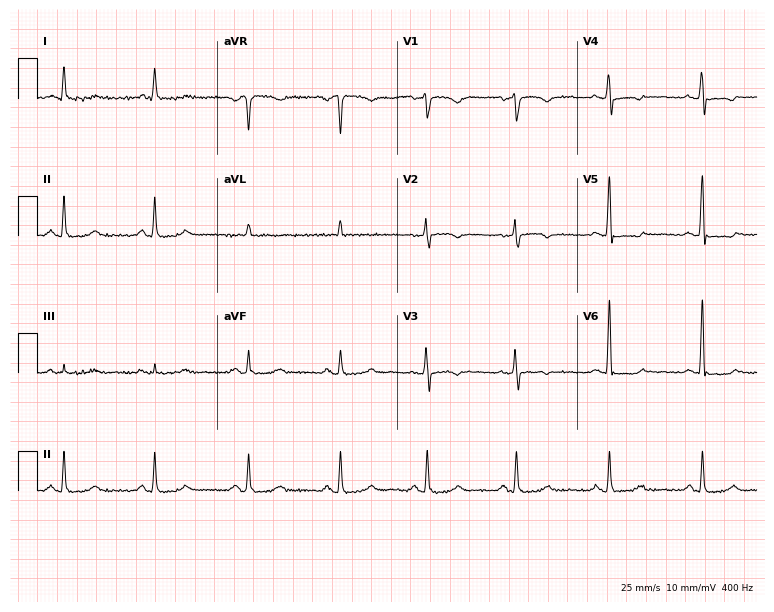
Resting 12-lead electrocardiogram. Patient: a 49-year-old female. None of these six findings is recorded: first-degree AV block, right bundle branch block, left bundle branch block, sinus bradycardia, atrial fibrillation, sinus tachycardia. Findings outside these six are not listed.